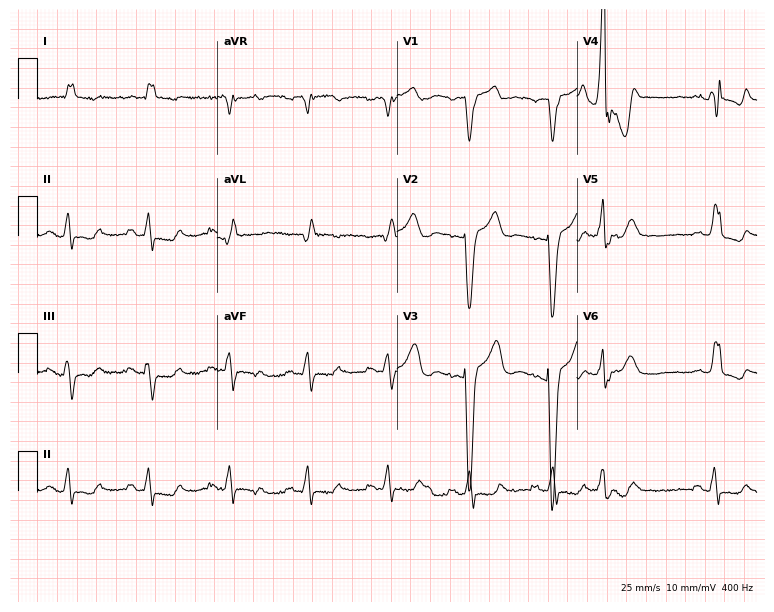
Electrocardiogram, a male, 64 years old. Interpretation includes left bundle branch block (LBBB).